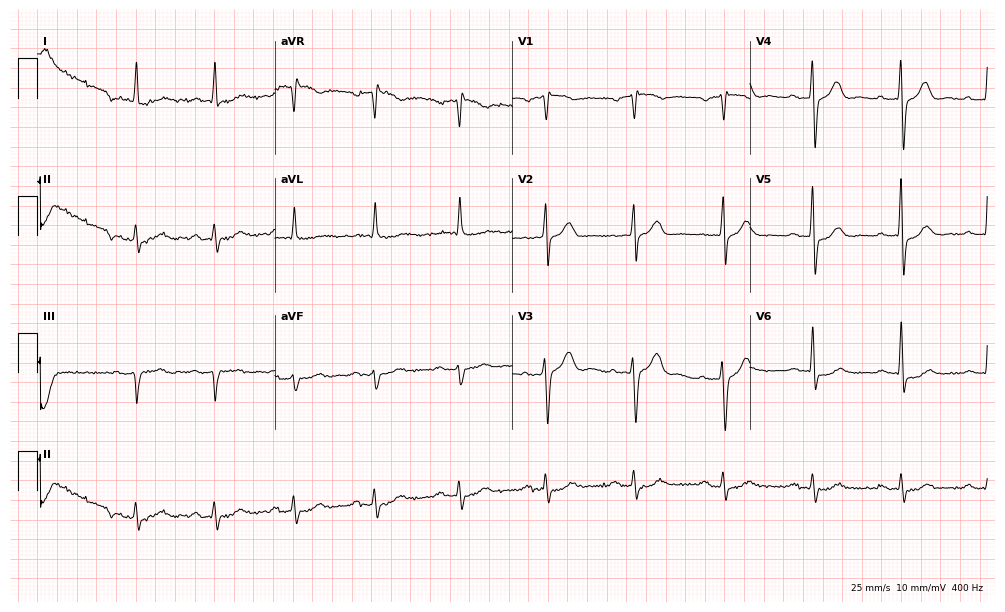
12-lead ECG from a man, 83 years old (9.7-second recording at 400 Hz). No first-degree AV block, right bundle branch block, left bundle branch block, sinus bradycardia, atrial fibrillation or sinus tachycardia recorded for this tracing.